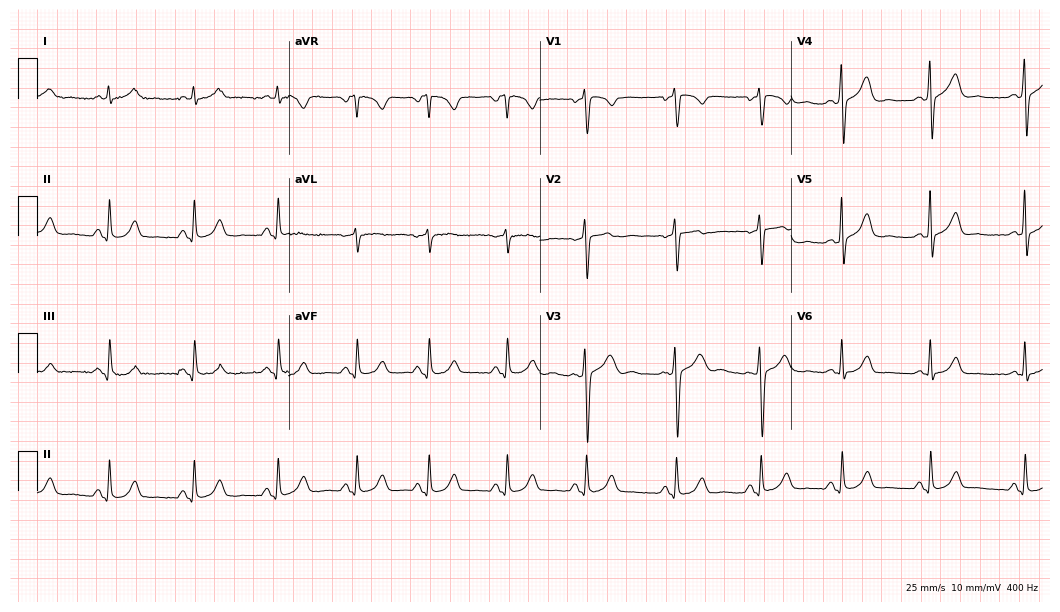
Resting 12-lead electrocardiogram. Patient: a man, 42 years old. Read as a normal ECG.